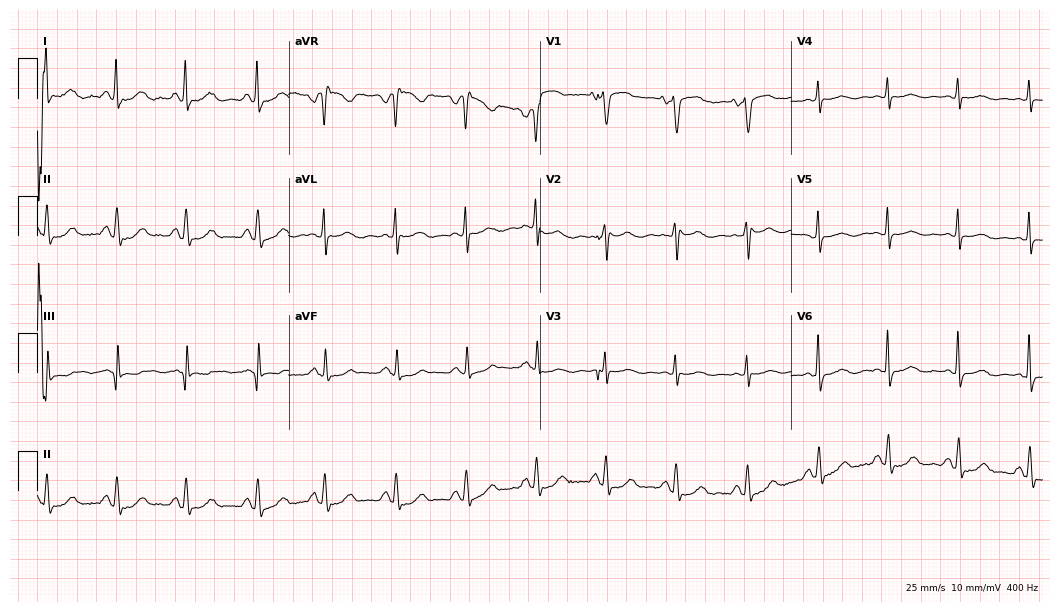
Standard 12-lead ECG recorded from a woman, 70 years old. Read as a normal ECG.